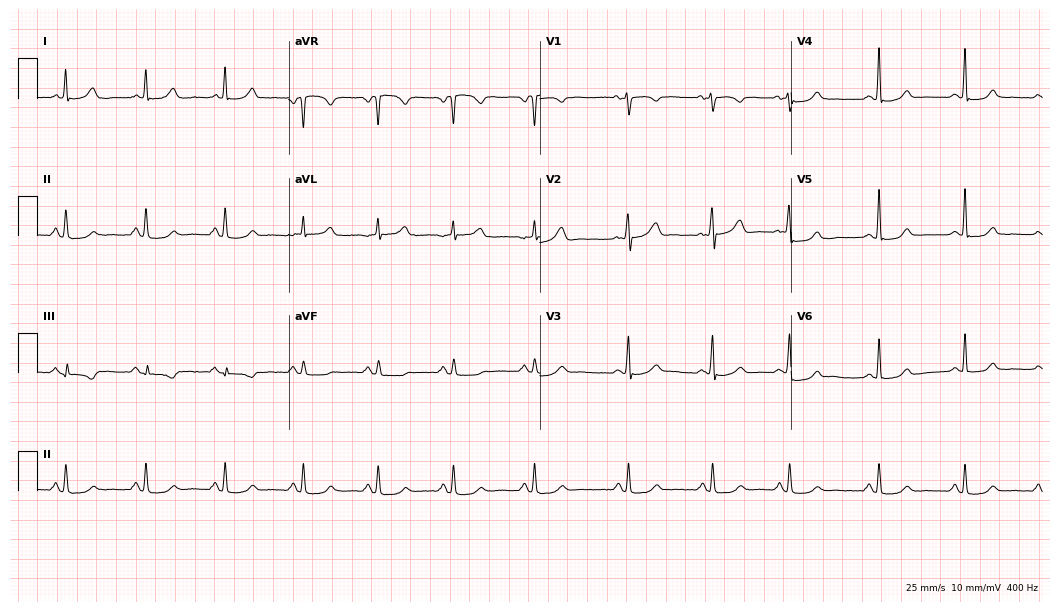
Resting 12-lead electrocardiogram. Patient: a woman, 39 years old. Read as a normal ECG.